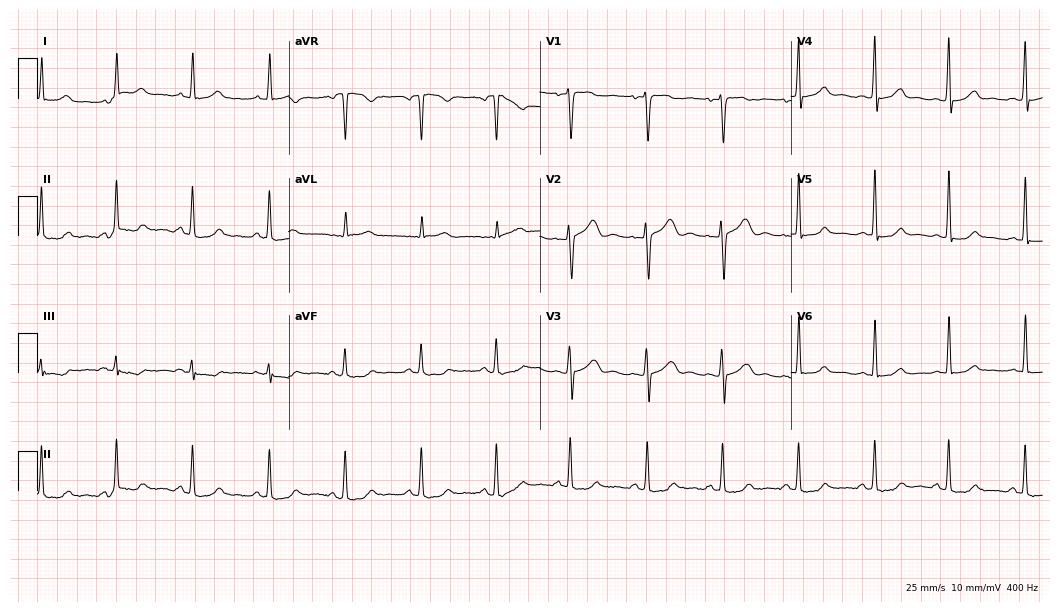
Resting 12-lead electrocardiogram. Patient: a woman, 37 years old. None of these six findings is recorded: first-degree AV block, right bundle branch block (RBBB), left bundle branch block (LBBB), sinus bradycardia, atrial fibrillation (AF), sinus tachycardia.